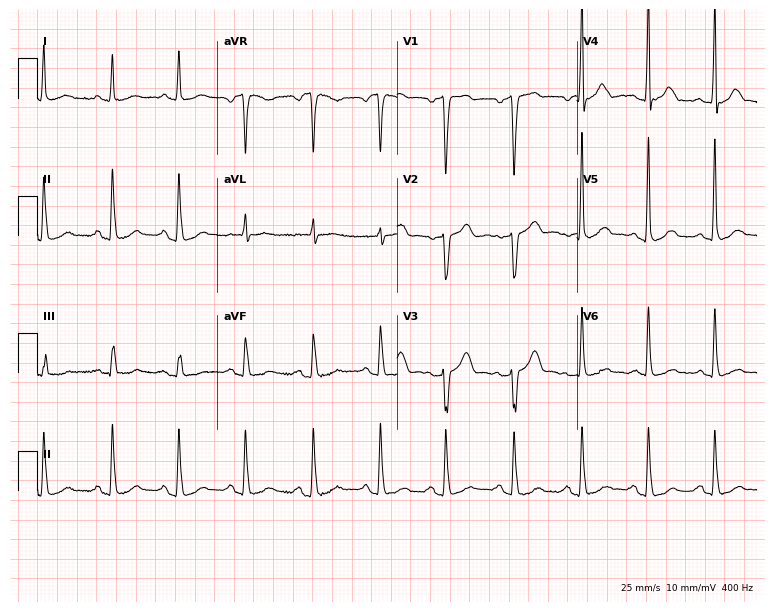
ECG — a male patient, 77 years old. Screened for six findings — first-degree AV block, right bundle branch block (RBBB), left bundle branch block (LBBB), sinus bradycardia, atrial fibrillation (AF), sinus tachycardia — none is recorded.